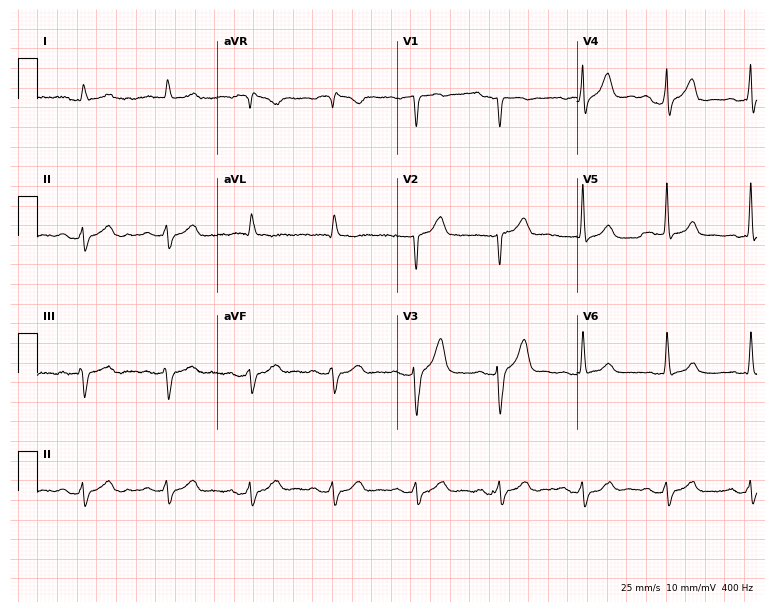
Electrocardiogram (7.3-second recording at 400 Hz), a male patient, 81 years old. Of the six screened findings (first-degree AV block, right bundle branch block (RBBB), left bundle branch block (LBBB), sinus bradycardia, atrial fibrillation (AF), sinus tachycardia), none is recorded.